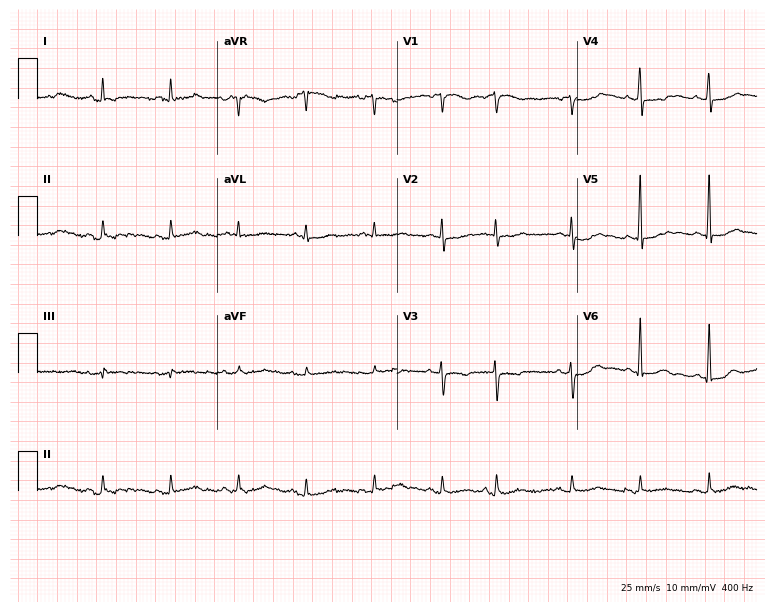
Resting 12-lead electrocardiogram. Patient: a 66-year-old woman. None of these six findings is recorded: first-degree AV block, right bundle branch block, left bundle branch block, sinus bradycardia, atrial fibrillation, sinus tachycardia. Other findings, if any, are not listed.